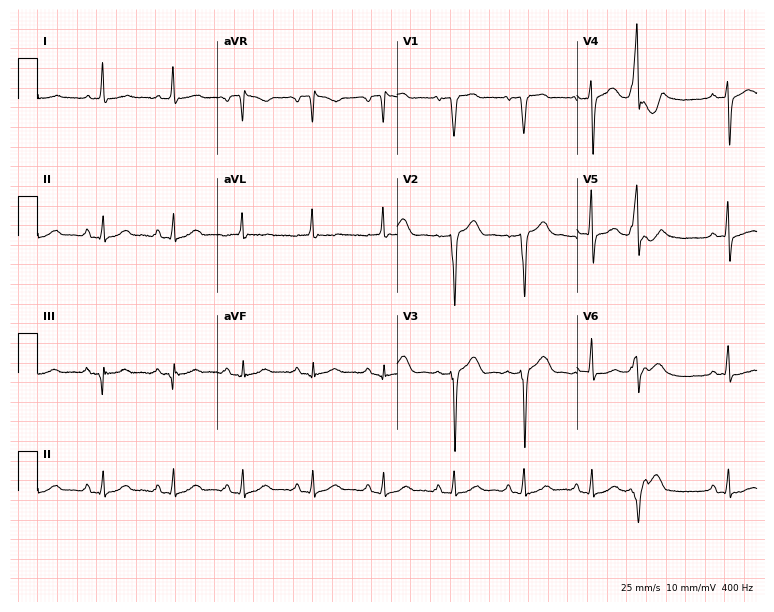
ECG — a male, 78 years old. Screened for six findings — first-degree AV block, right bundle branch block, left bundle branch block, sinus bradycardia, atrial fibrillation, sinus tachycardia — none is recorded. Other findings, if any, are not listed.